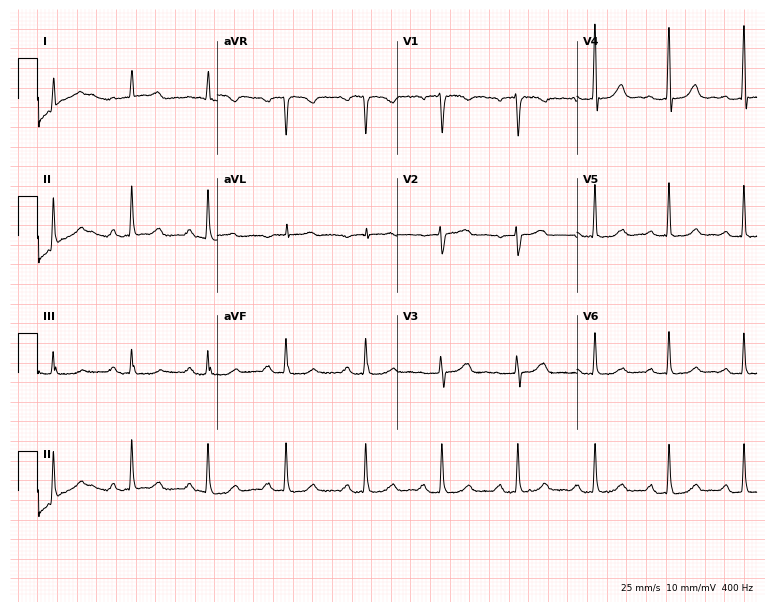
12-lead ECG (7.3-second recording at 400 Hz) from a 45-year-old female patient. Findings include first-degree AV block.